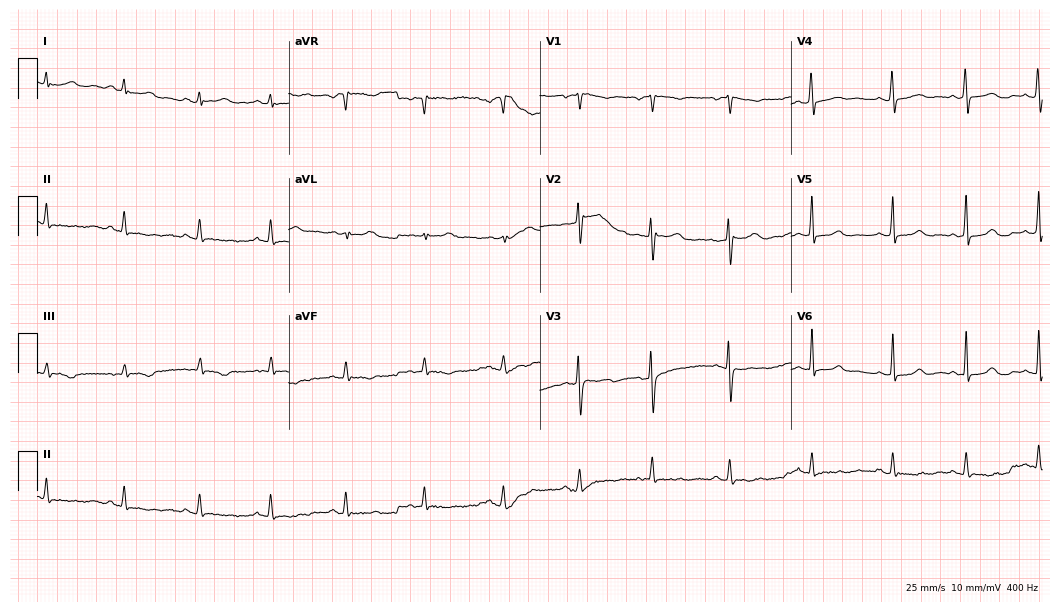
ECG — a 25-year-old female patient. Screened for six findings — first-degree AV block, right bundle branch block (RBBB), left bundle branch block (LBBB), sinus bradycardia, atrial fibrillation (AF), sinus tachycardia — none is recorded.